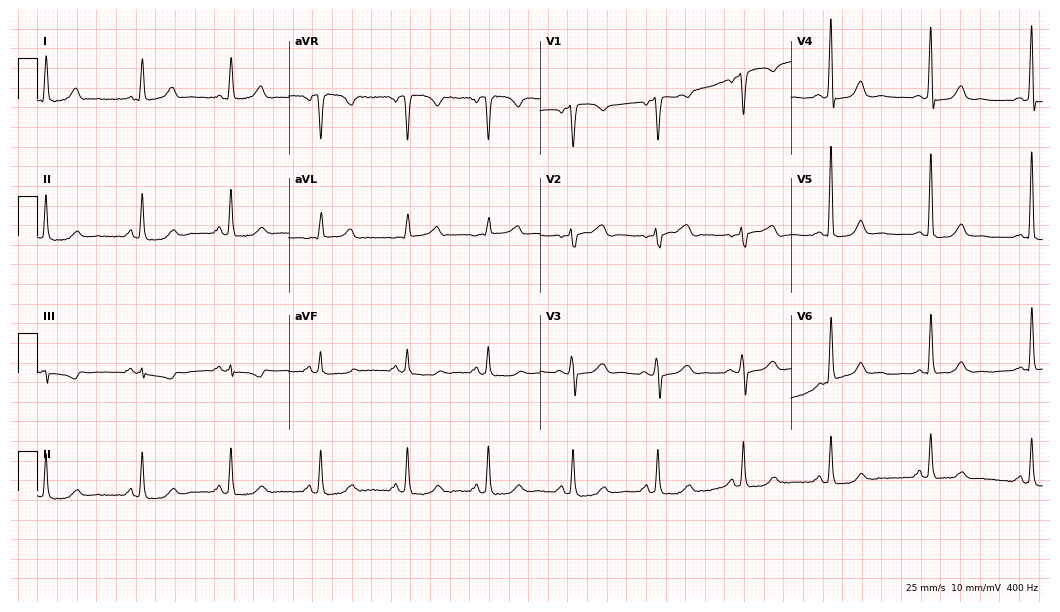
Resting 12-lead electrocardiogram. Patient: a 52-year-old woman. Read as a normal ECG.